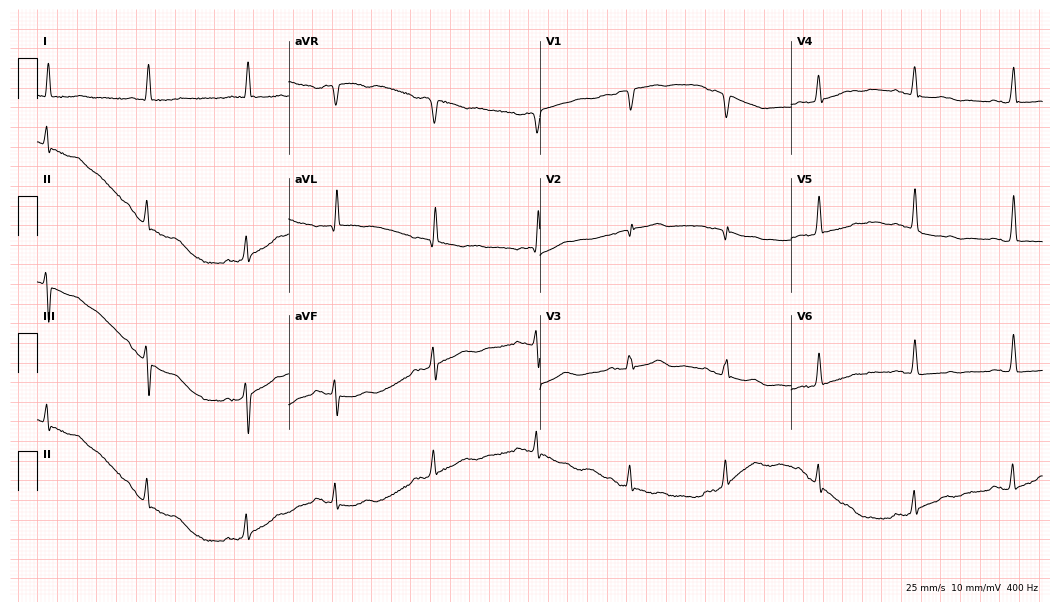
12-lead ECG (10.2-second recording at 400 Hz) from an 84-year-old female. Screened for six findings — first-degree AV block, right bundle branch block, left bundle branch block, sinus bradycardia, atrial fibrillation, sinus tachycardia — none is recorded. Findings outside these six are not listed.